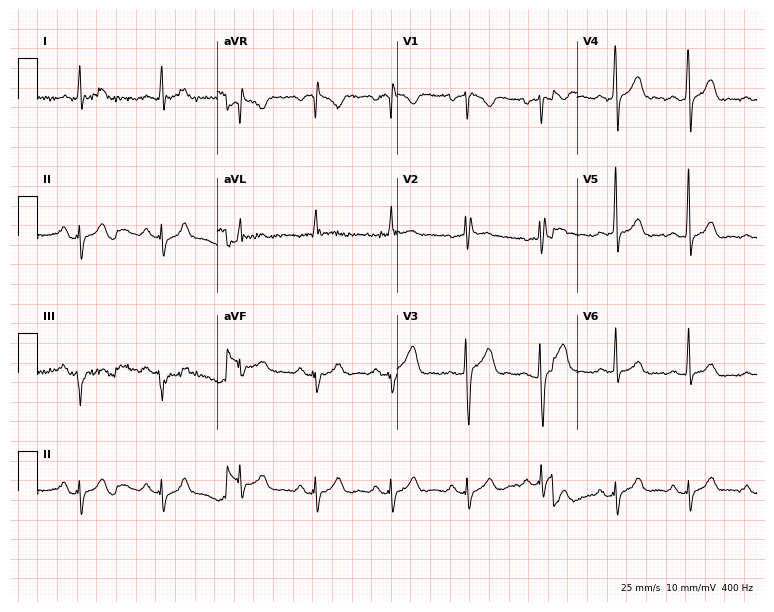
ECG (7.3-second recording at 400 Hz) — a male patient, 29 years old. Screened for six findings — first-degree AV block, right bundle branch block, left bundle branch block, sinus bradycardia, atrial fibrillation, sinus tachycardia — none is recorded. Only these six findings were labelled.